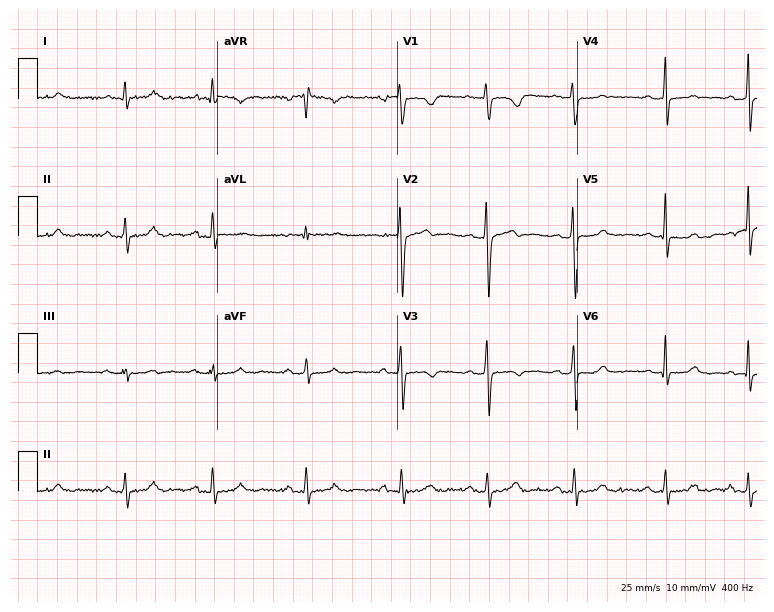
Resting 12-lead electrocardiogram (7.3-second recording at 400 Hz). Patient: a female, 27 years old. None of these six findings is recorded: first-degree AV block, right bundle branch block (RBBB), left bundle branch block (LBBB), sinus bradycardia, atrial fibrillation (AF), sinus tachycardia. Only these six findings were labelled.